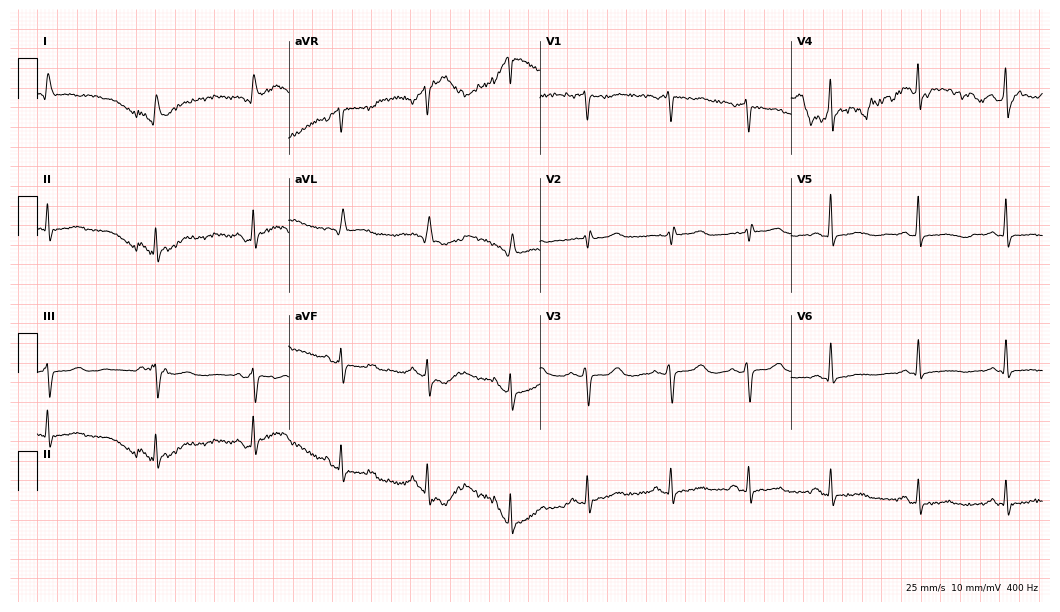
ECG — a female, 67 years old. Screened for six findings — first-degree AV block, right bundle branch block (RBBB), left bundle branch block (LBBB), sinus bradycardia, atrial fibrillation (AF), sinus tachycardia — none is recorded.